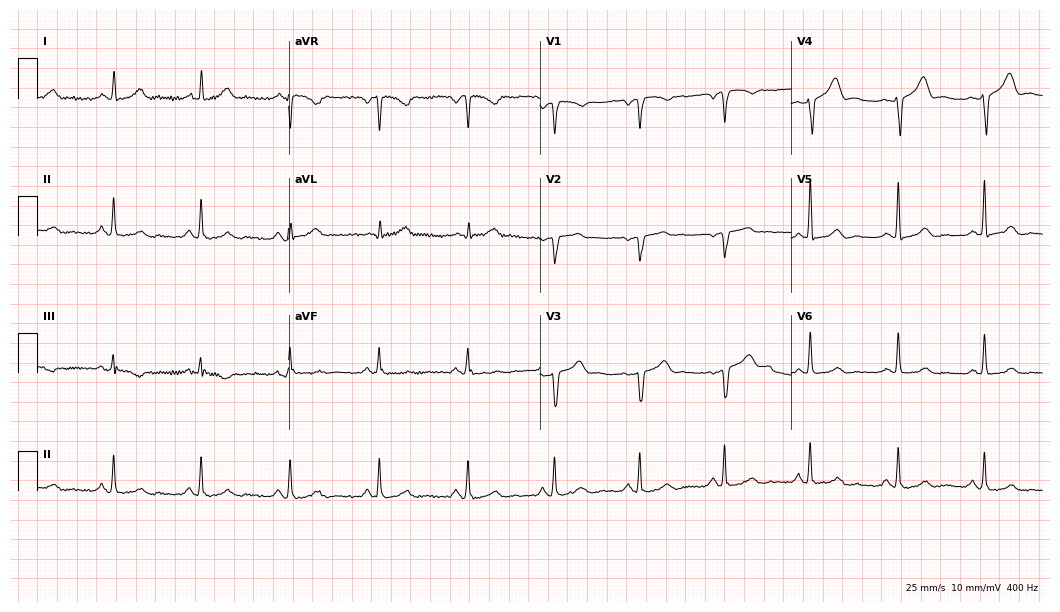
Resting 12-lead electrocardiogram (10.2-second recording at 400 Hz). Patient: a woman, 48 years old. None of these six findings is recorded: first-degree AV block, right bundle branch block, left bundle branch block, sinus bradycardia, atrial fibrillation, sinus tachycardia.